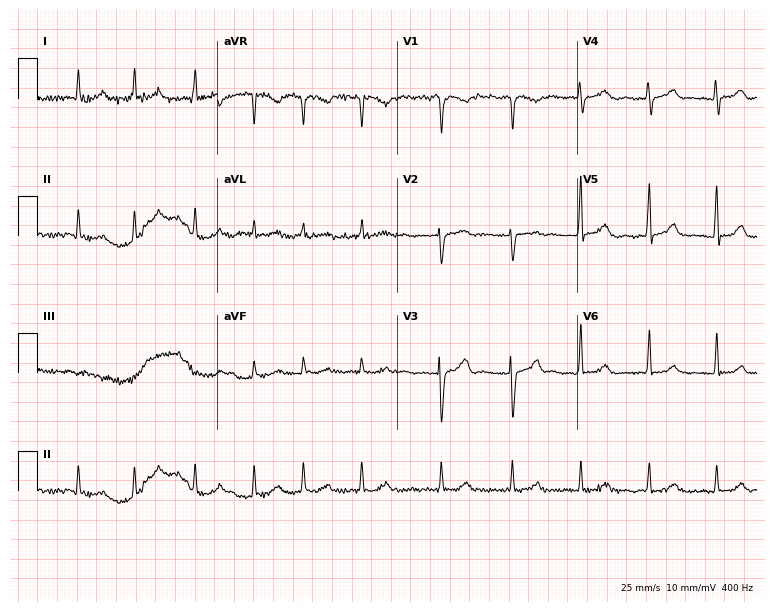
Resting 12-lead electrocardiogram (7.3-second recording at 400 Hz). Patient: a 74-year-old woman. None of these six findings is recorded: first-degree AV block, right bundle branch block, left bundle branch block, sinus bradycardia, atrial fibrillation, sinus tachycardia. Findings outside these six are not listed.